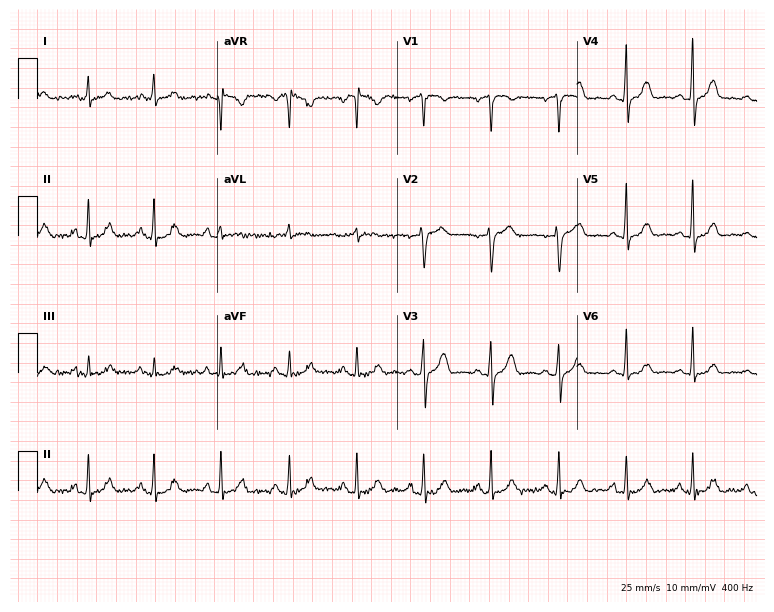
Standard 12-lead ECG recorded from a 53-year-old woman (7.3-second recording at 400 Hz). Read as a normal ECG.